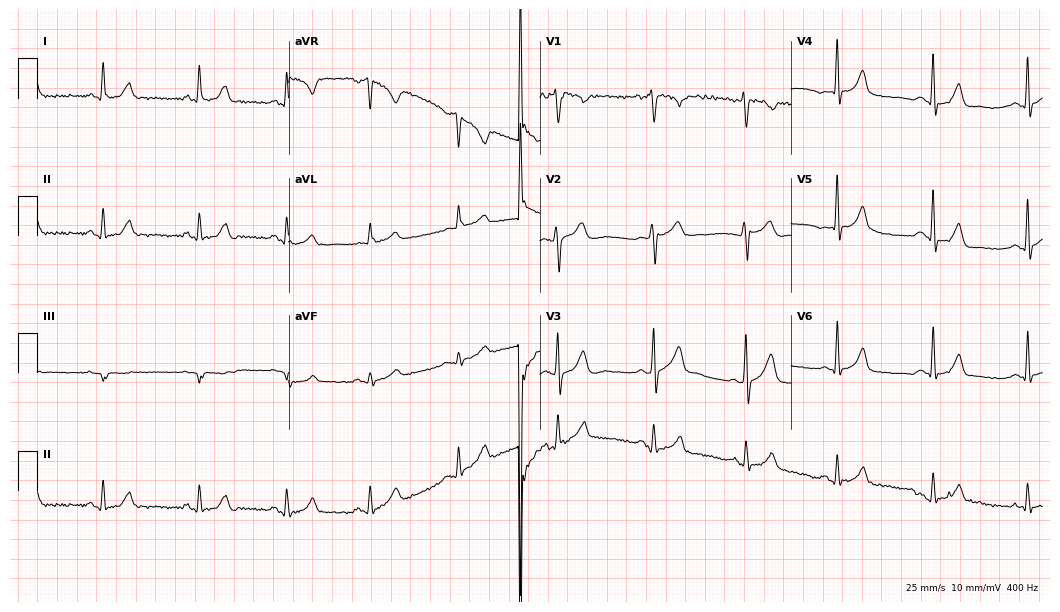
Electrocardiogram (10.2-second recording at 400 Hz), a man, 31 years old. Overall reading on record: normal ECG.